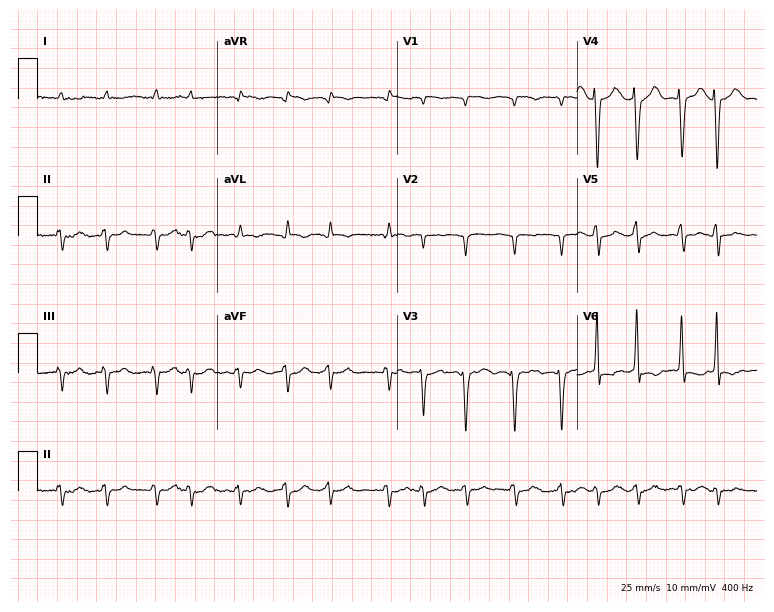
Resting 12-lead electrocardiogram. Patient: a female, 74 years old. The tracing shows atrial fibrillation.